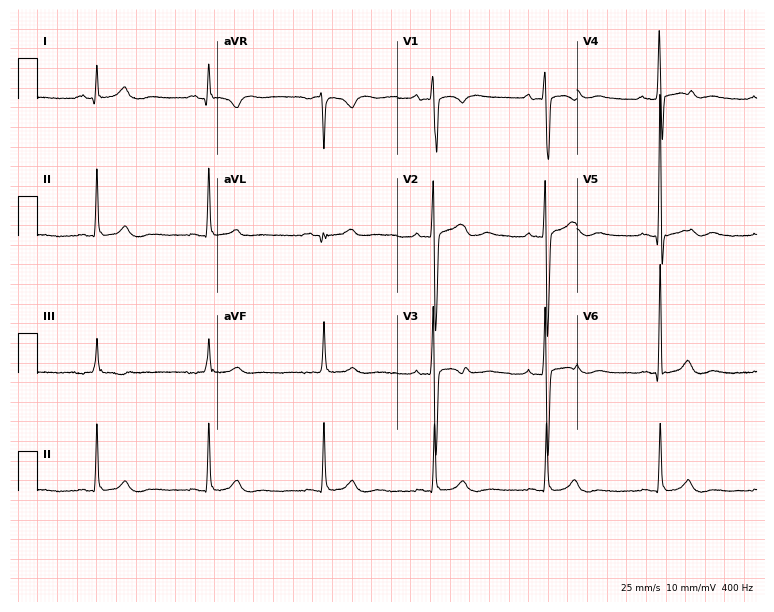
12-lead ECG from a 36-year-old man. Recorded interpretation: within normal limits.